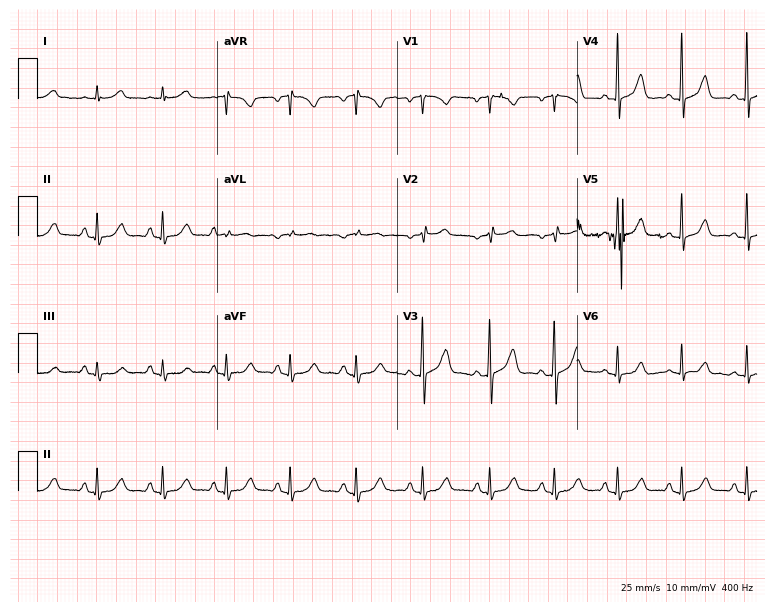
12-lead ECG from a female patient, 72 years old. Labelled as a normal ECG.